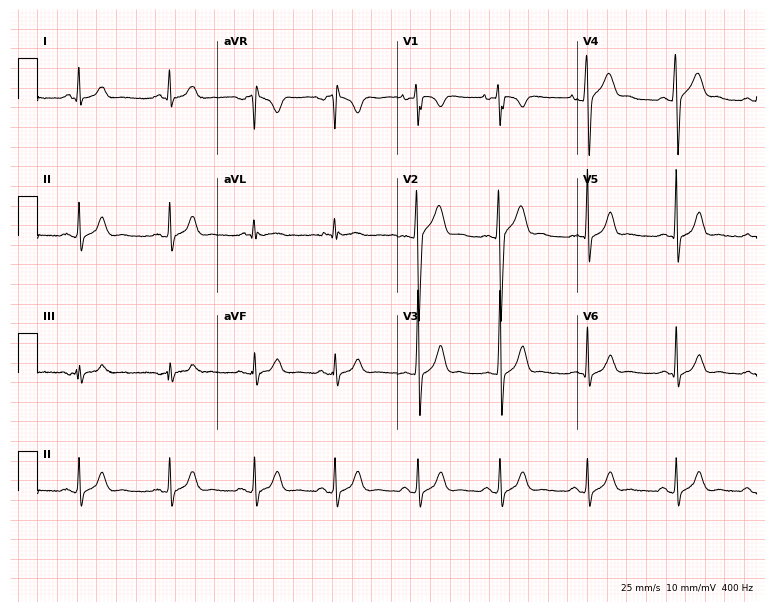
ECG (7.3-second recording at 400 Hz) — a man, 20 years old. Labelled as a normal ECG.